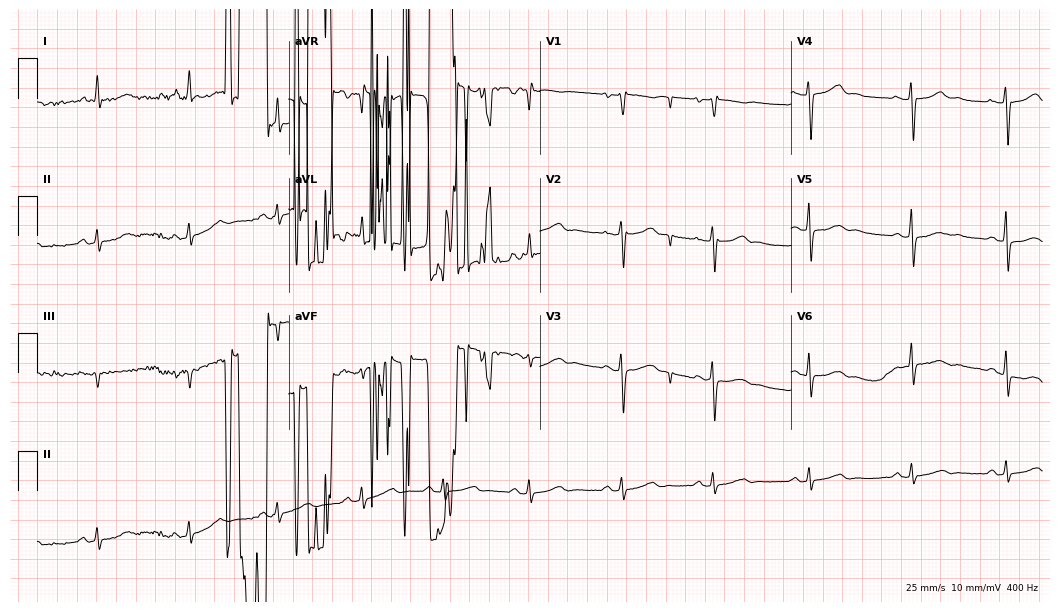
12-lead ECG (10.2-second recording at 400 Hz) from a 64-year-old woman. Screened for six findings — first-degree AV block, right bundle branch block, left bundle branch block, sinus bradycardia, atrial fibrillation, sinus tachycardia — none is recorded. Findings outside these six are not listed.